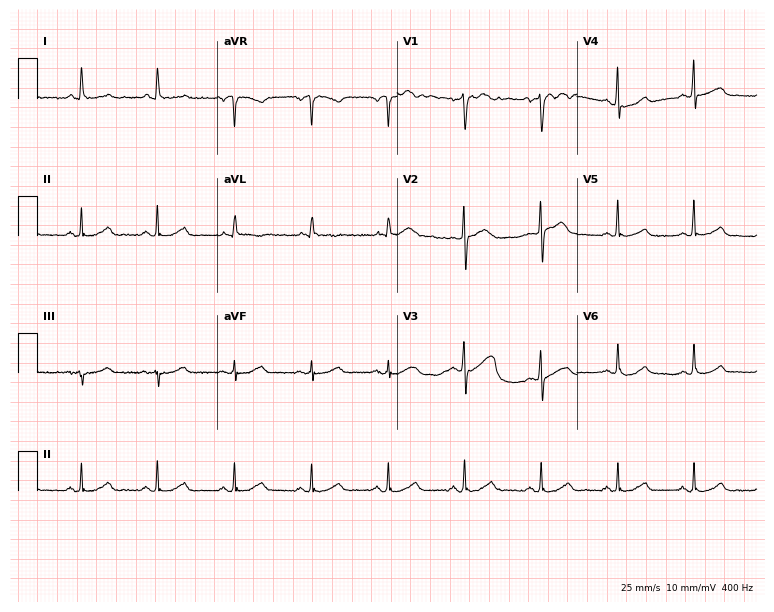
12-lead ECG from a female patient, 76 years old. Recorded interpretation: within normal limits.